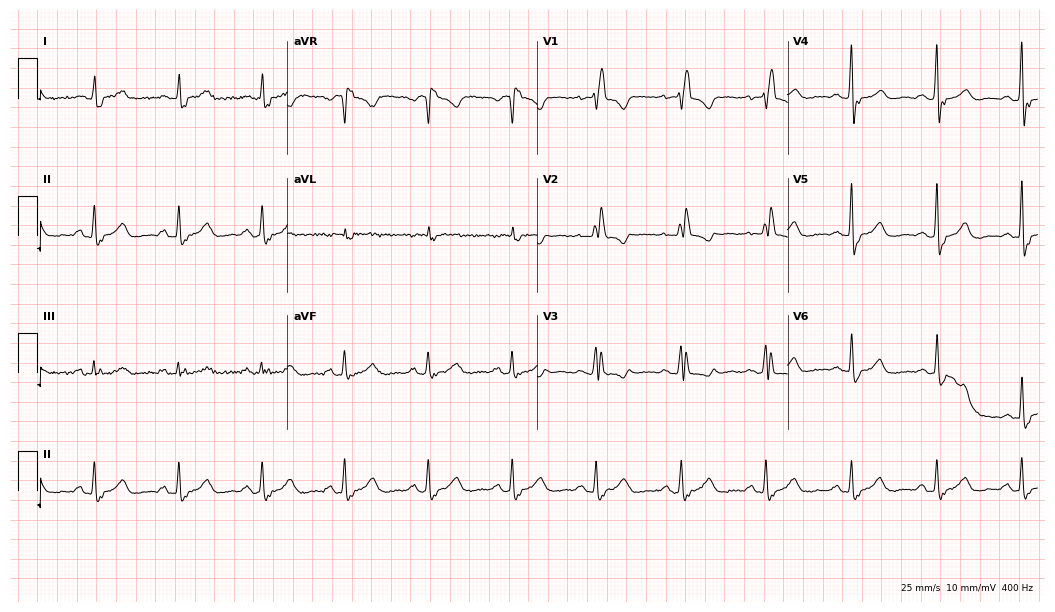
Standard 12-lead ECG recorded from a female patient, 78 years old. The tracing shows right bundle branch block.